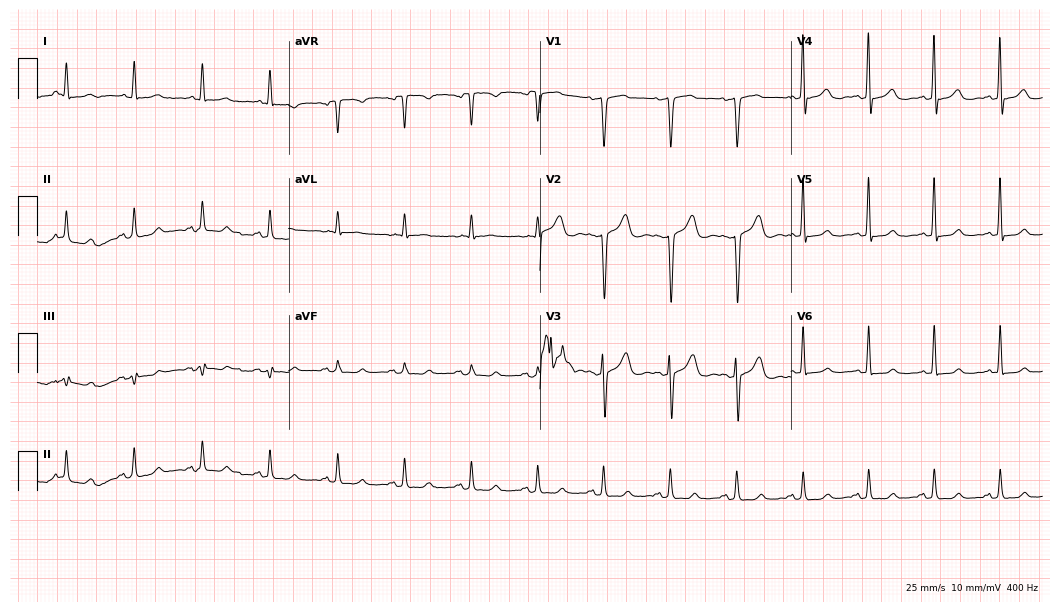
12-lead ECG (10.2-second recording at 400 Hz) from a female patient, 51 years old. Screened for six findings — first-degree AV block, right bundle branch block (RBBB), left bundle branch block (LBBB), sinus bradycardia, atrial fibrillation (AF), sinus tachycardia — none is recorded. Findings outside these six are not listed.